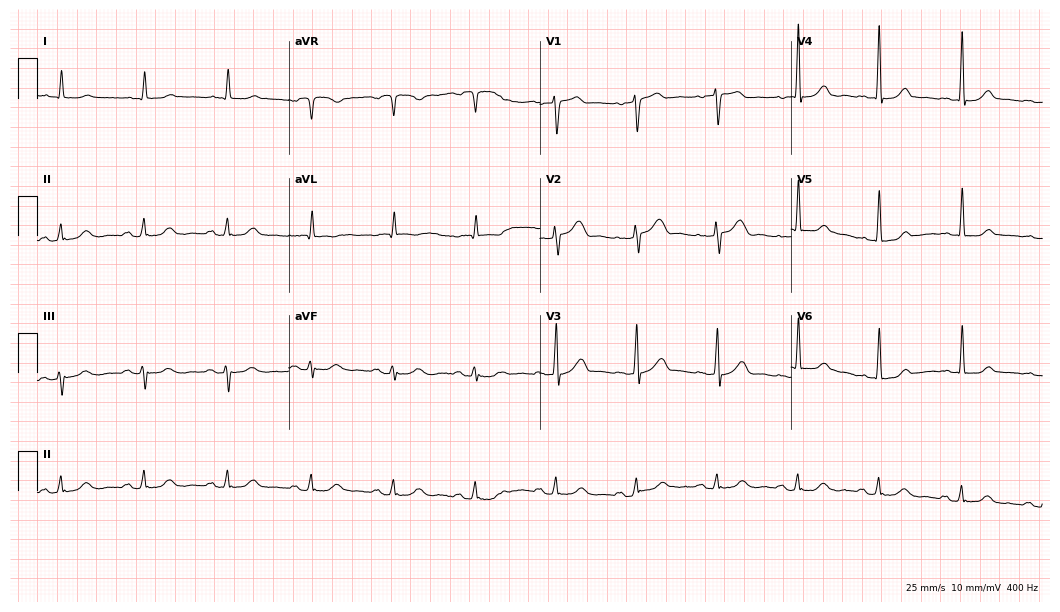
Electrocardiogram, a male, 68 years old. Of the six screened findings (first-degree AV block, right bundle branch block, left bundle branch block, sinus bradycardia, atrial fibrillation, sinus tachycardia), none is recorded. Other findings, if any, are not listed.